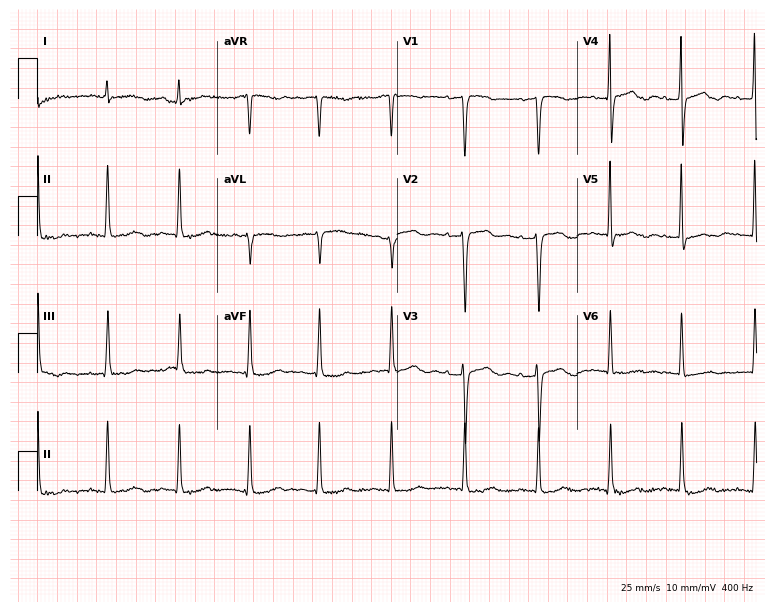
Electrocardiogram, a woman, 44 years old. Of the six screened findings (first-degree AV block, right bundle branch block (RBBB), left bundle branch block (LBBB), sinus bradycardia, atrial fibrillation (AF), sinus tachycardia), none is recorded. Only these six findings were labelled.